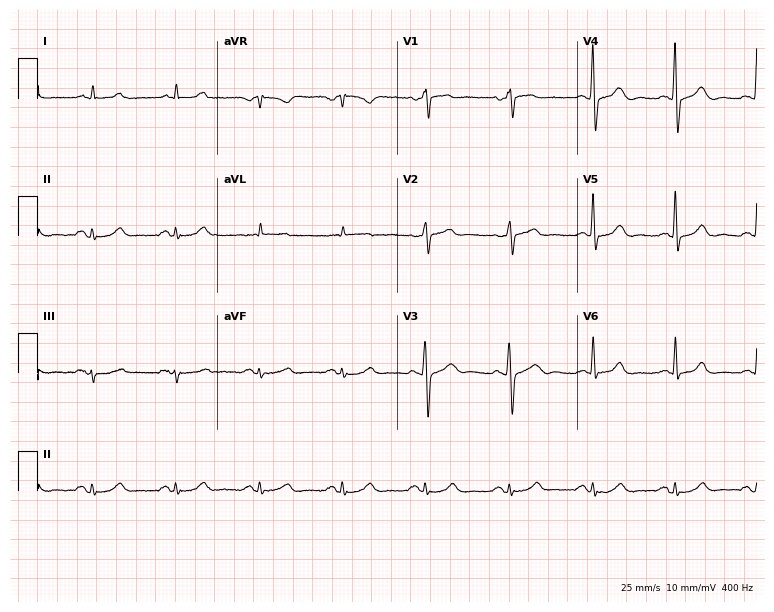
Standard 12-lead ECG recorded from an 84-year-old man (7.3-second recording at 400 Hz). Read as a normal ECG.